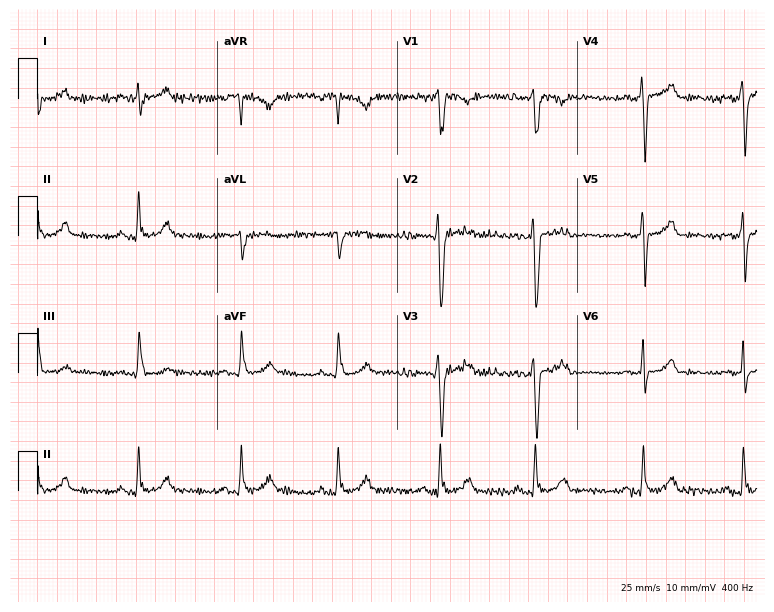
12-lead ECG from a woman, 28 years old. No first-degree AV block, right bundle branch block, left bundle branch block, sinus bradycardia, atrial fibrillation or sinus tachycardia recorded for this tracing.